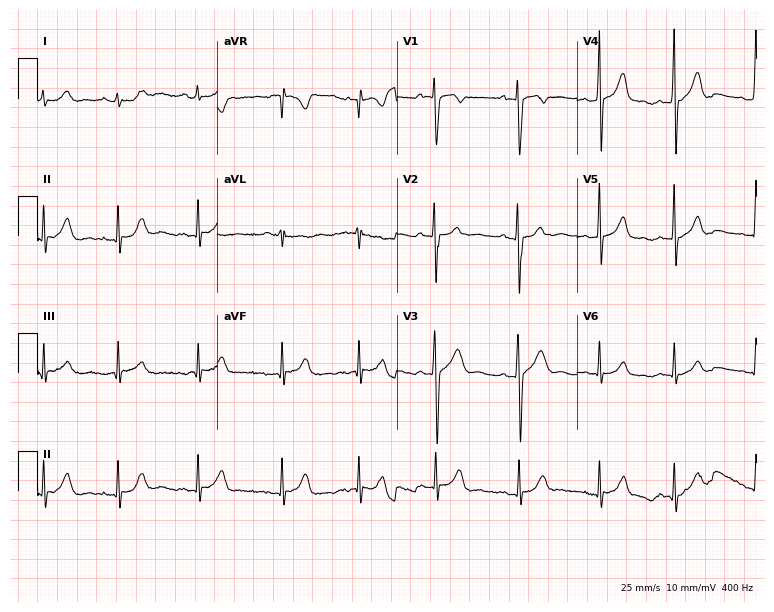
ECG (7.3-second recording at 400 Hz) — a 17-year-old male patient. Screened for six findings — first-degree AV block, right bundle branch block, left bundle branch block, sinus bradycardia, atrial fibrillation, sinus tachycardia — none is recorded. Only these six findings were labelled.